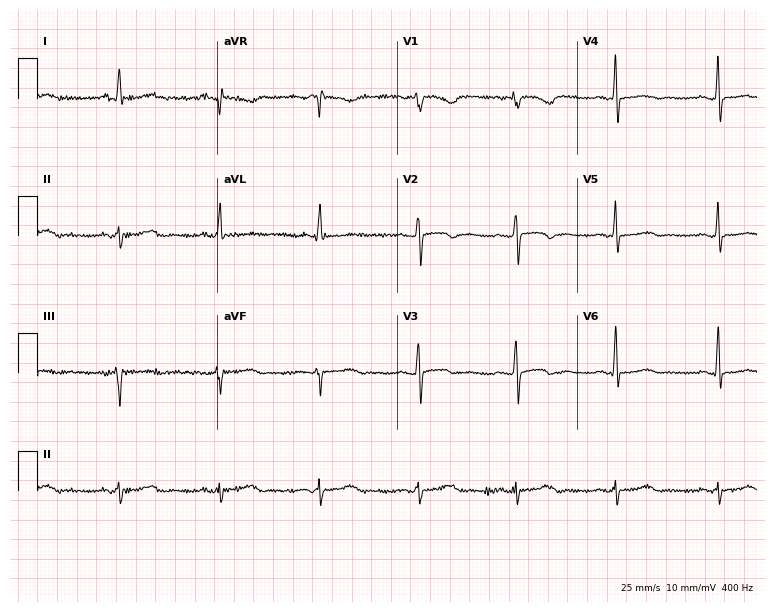
Resting 12-lead electrocardiogram (7.3-second recording at 400 Hz). Patient: a 65-year-old female. None of these six findings is recorded: first-degree AV block, right bundle branch block, left bundle branch block, sinus bradycardia, atrial fibrillation, sinus tachycardia.